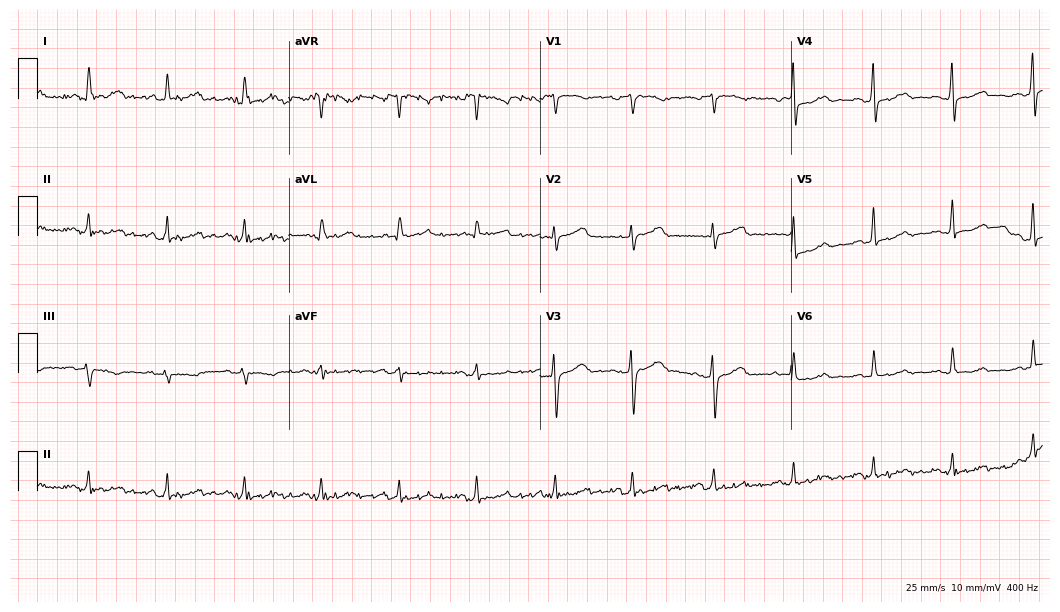
12-lead ECG from a female, 57 years old (10.2-second recording at 400 Hz). Recorded interpretation: within normal limits.